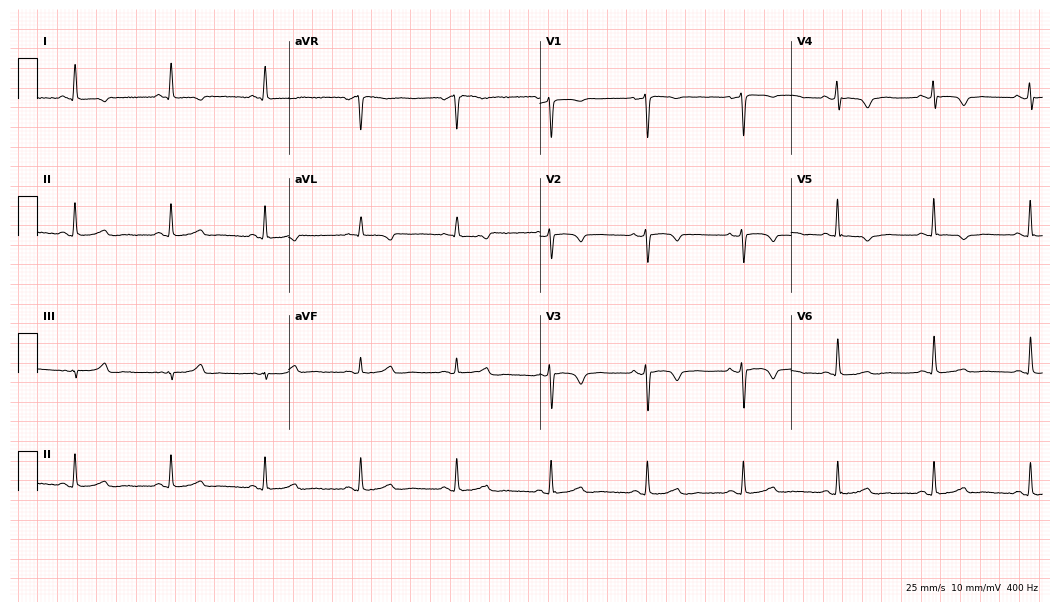
12-lead ECG (10.2-second recording at 400 Hz) from a 63-year-old woman. Screened for six findings — first-degree AV block, right bundle branch block, left bundle branch block, sinus bradycardia, atrial fibrillation, sinus tachycardia — none is recorded.